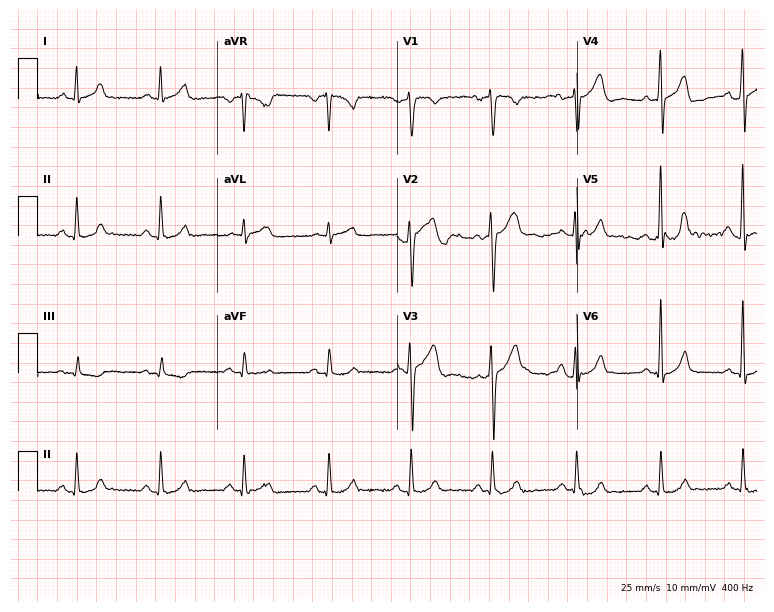
Electrocardiogram, a 53-year-old man. Overall reading on record: normal ECG.